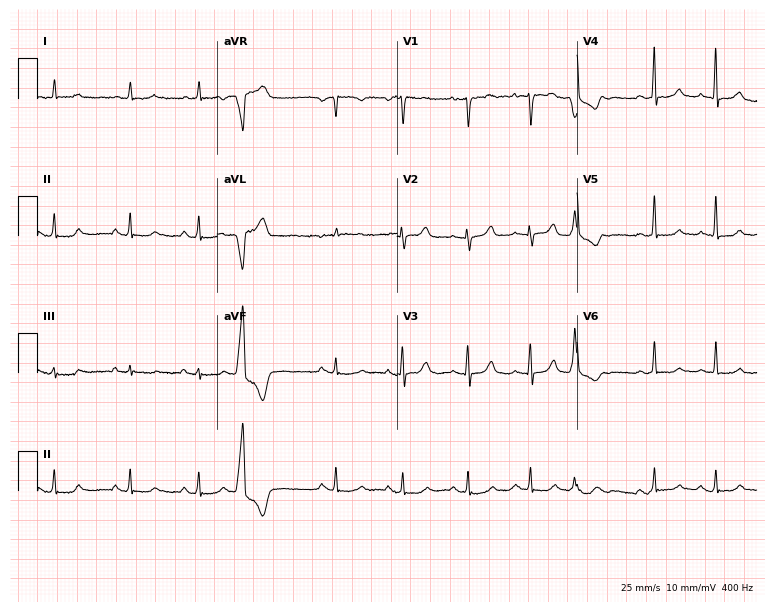
12-lead ECG (7.3-second recording at 400 Hz) from a 64-year-old female. Screened for six findings — first-degree AV block, right bundle branch block (RBBB), left bundle branch block (LBBB), sinus bradycardia, atrial fibrillation (AF), sinus tachycardia — none is recorded. Findings outside these six are not listed.